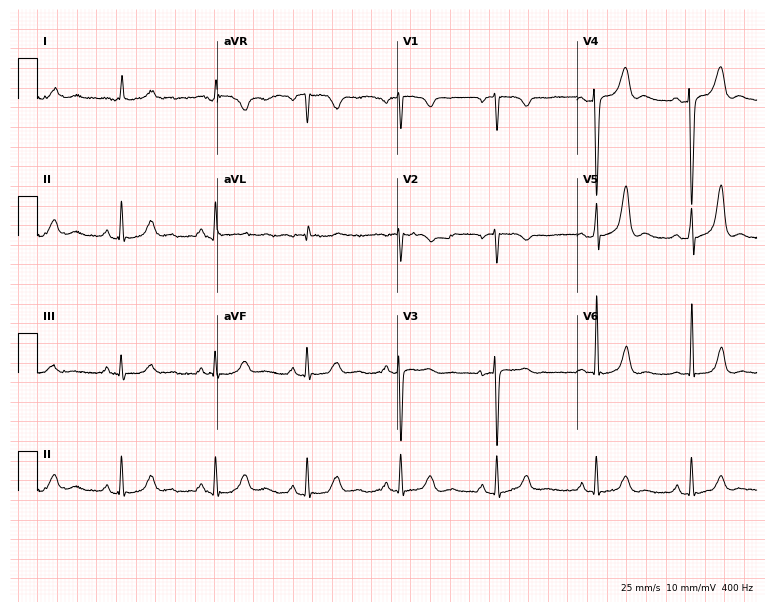
ECG (7.3-second recording at 400 Hz) — a 49-year-old male patient. Screened for six findings — first-degree AV block, right bundle branch block (RBBB), left bundle branch block (LBBB), sinus bradycardia, atrial fibrillation (AF), sinus tachycardia — none is recorded.